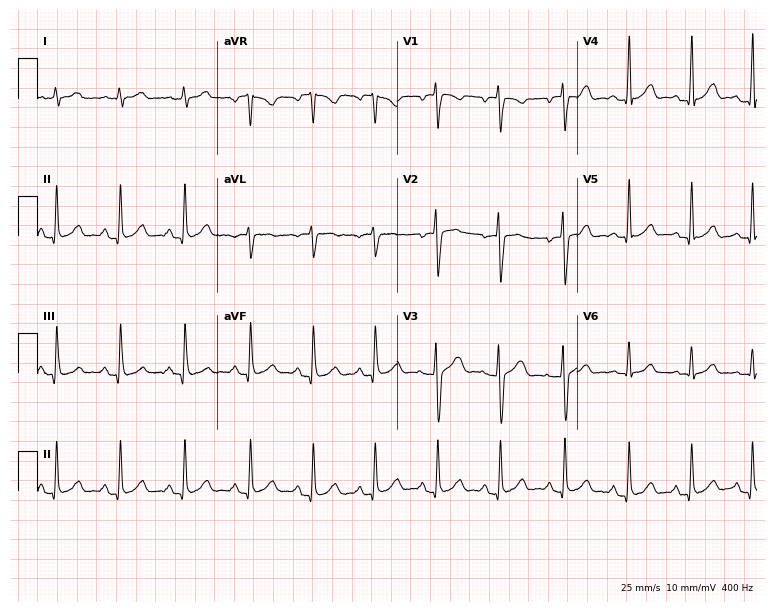
12-lead ECG from a female, 33 years old (7.3-second recording at 400 Hz). Recorded interpretation: within normal limits.